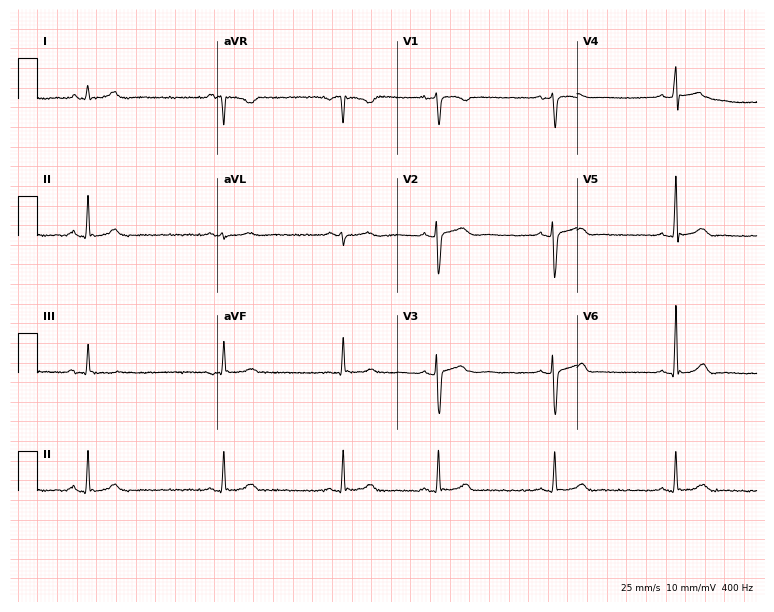
12-lead ECG from a 22-year-old woman. Labelled as a normal ECG.